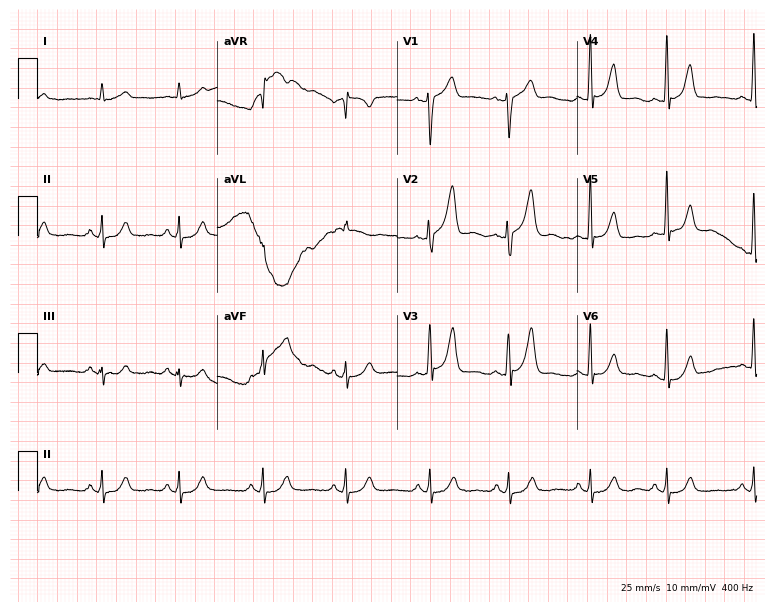
12-lead ECG (7.3-second recording at 400 Hz) from a 68-year-old male patient. Labelled as a normal ECG.